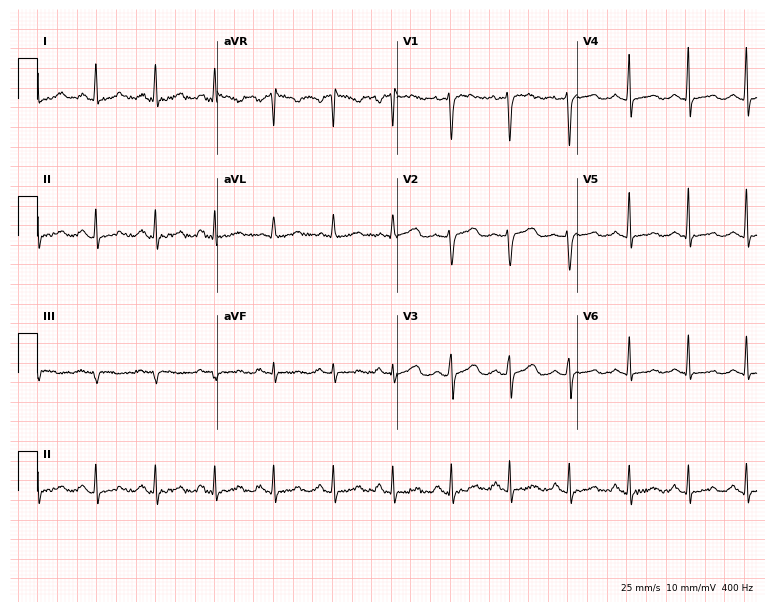
12-lead ECG (7.3-second recording at 400 Hz) from a female, 47 years old. Screened for six findings — first-degree AV block, right bundle branch block, left bundle branch block, sinus bradycardia, atrial fibrillation, sinus tachycardia — none is recorded.